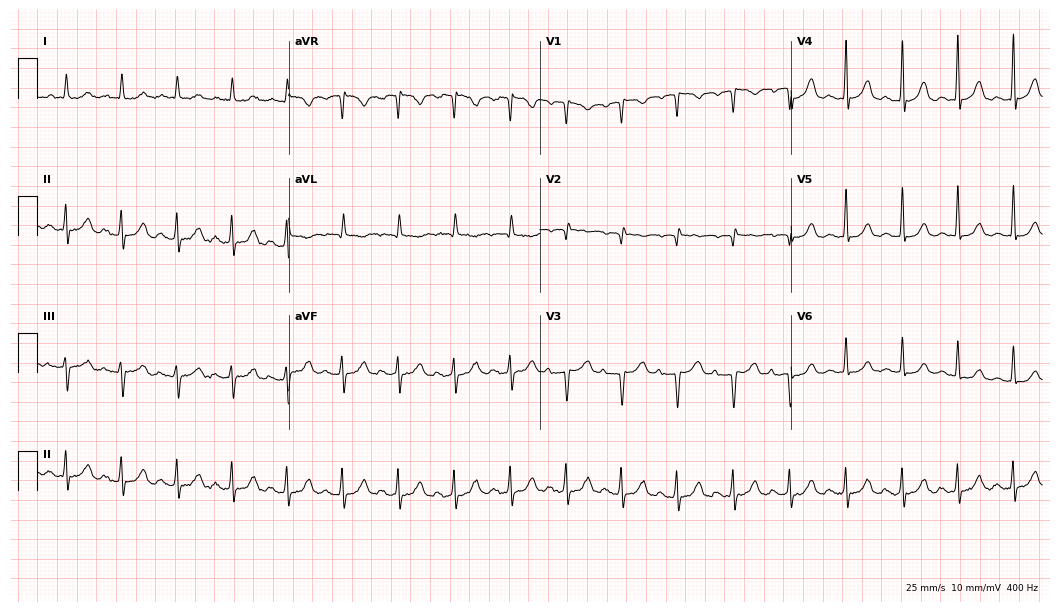
Resting 12-lead electrocardiogram. Patient: an 81-year-old female. The tracing shows sinus tachycardia (a sinus rate of 100 beats per minute or more).